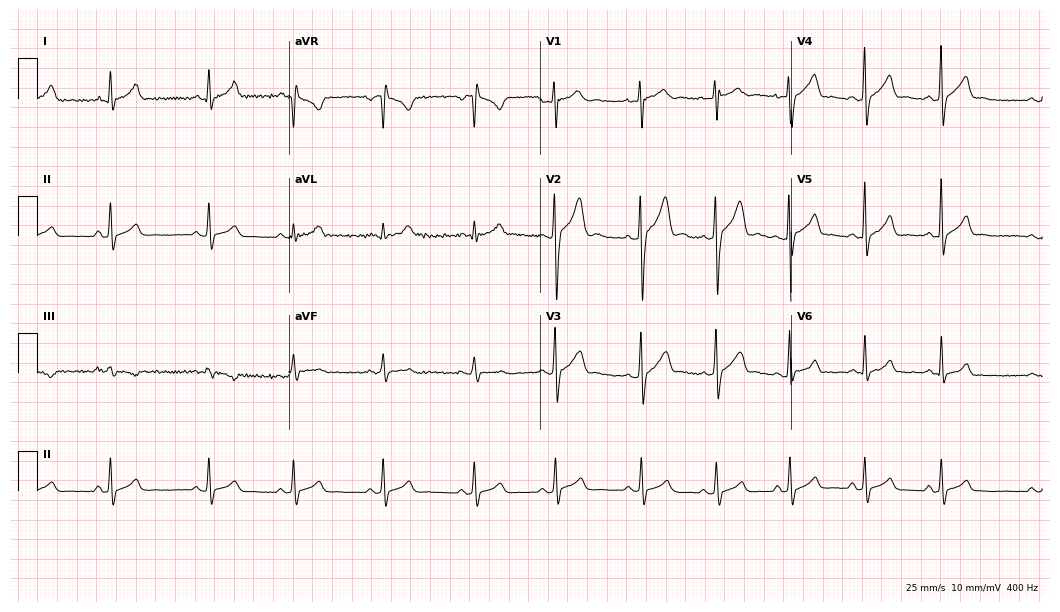
12-lead ECG from a 17-year-old male. Labelled as a normal ECG.